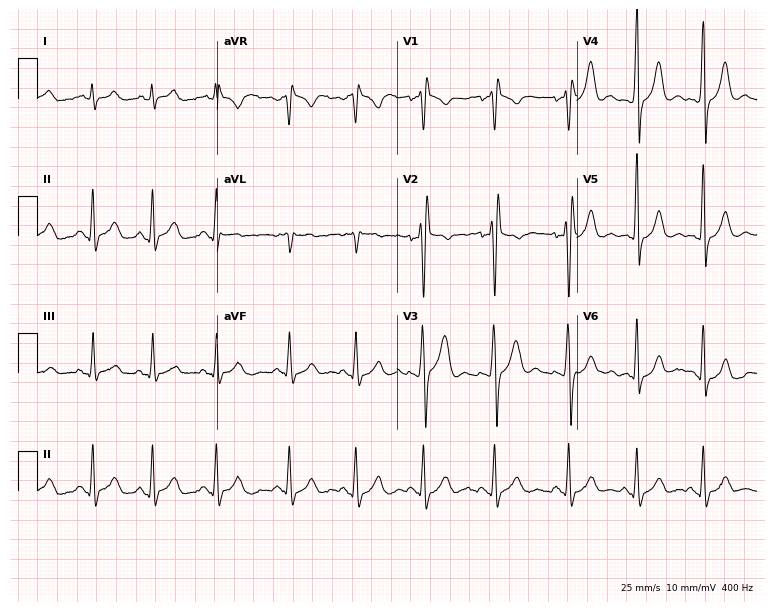
Standard 12-lead ECG recorded from a male patient, 36 years old (7.3-second recording at 400 Hz). The tracing shows right bundle branch block.